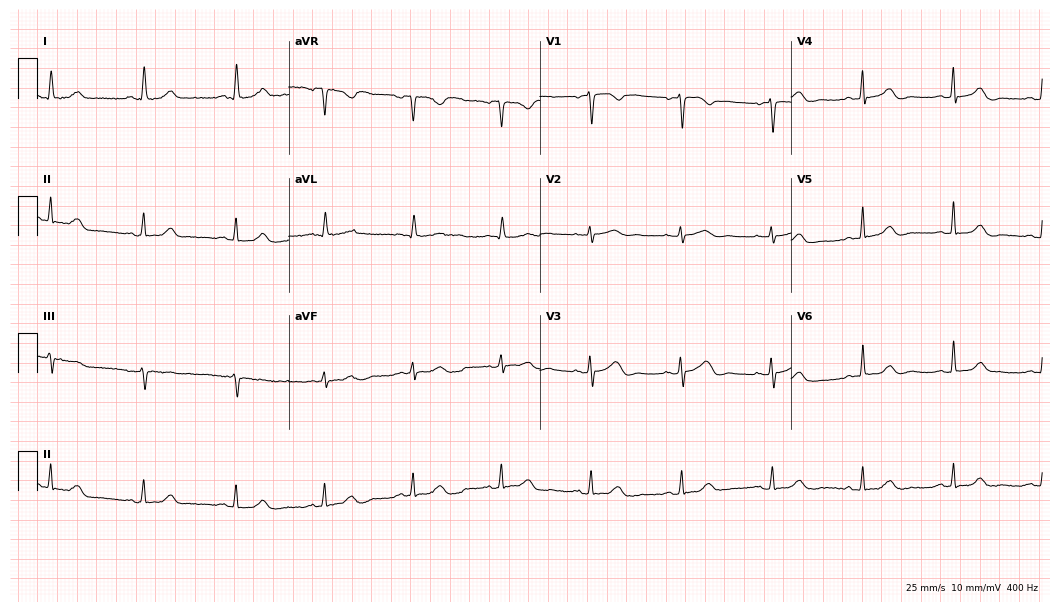
Standard 12-lead ECG recorded from a 79-year-old woman. Read as a normal ECG.